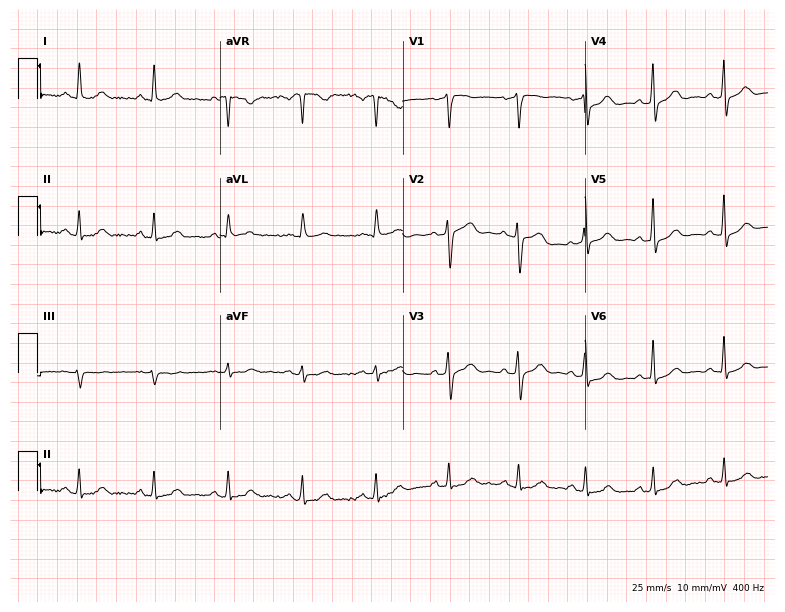
Electrocardiogram, a 69-year-old male patient. Overall reading on record: normal ECG.